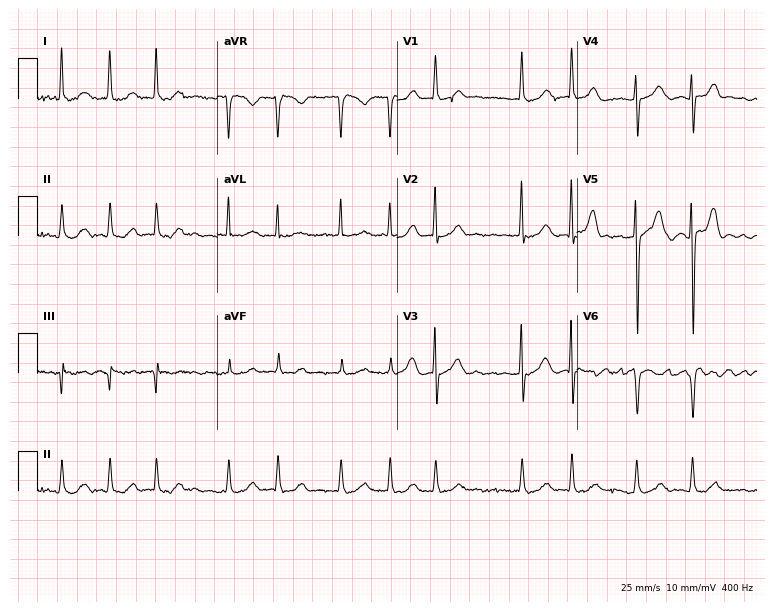
Resting 12-lead electrocardiogram. Patient: a female, 82 years old. The tracing shows atrial fibrillation.